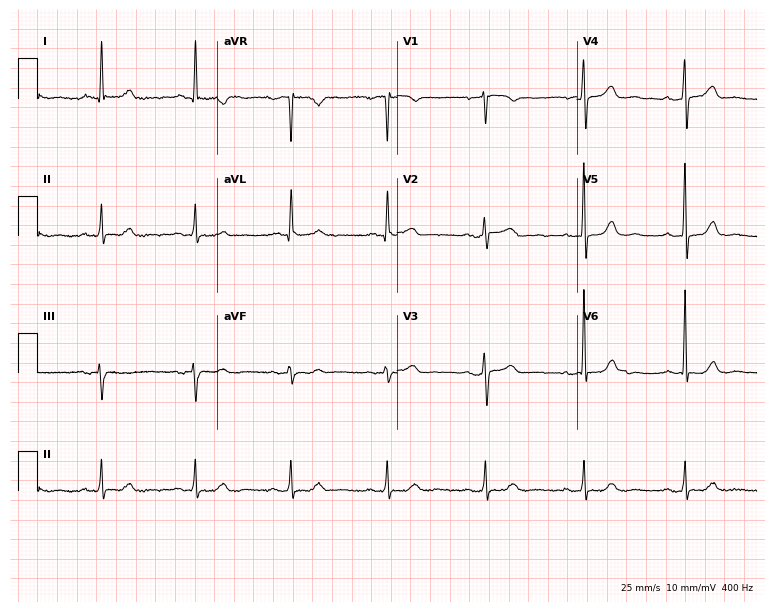
ECG — a 79-year-old female. Labelled as a normal ECG.